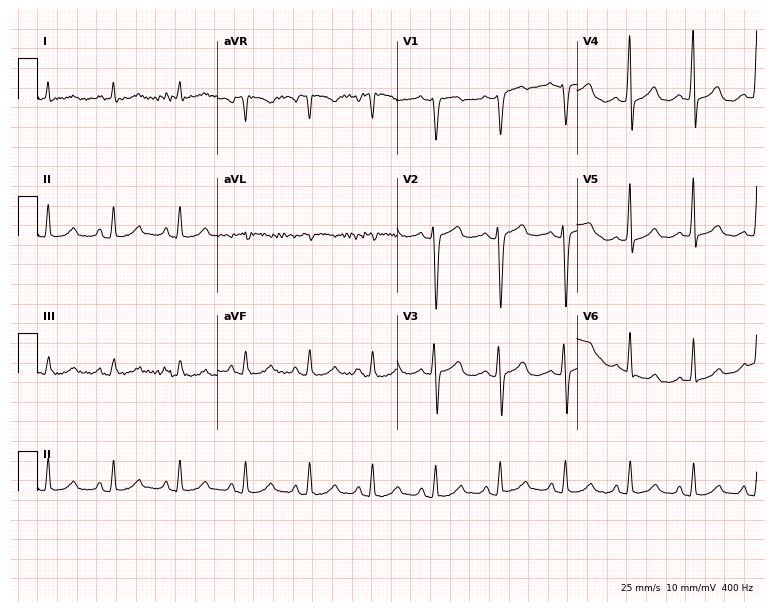
Standard 12-lead ECG recorded from a man, 53 years old (7.3-second recording at 400 Hz). None of these six findings is recorded: first-degree AV block, right bundle branch block (RBBB), left bundle branch block (LBBB), sinus bradycardia, atrial fibrillation (AF), sinus tachycardia. Findings outside these six are not listed.